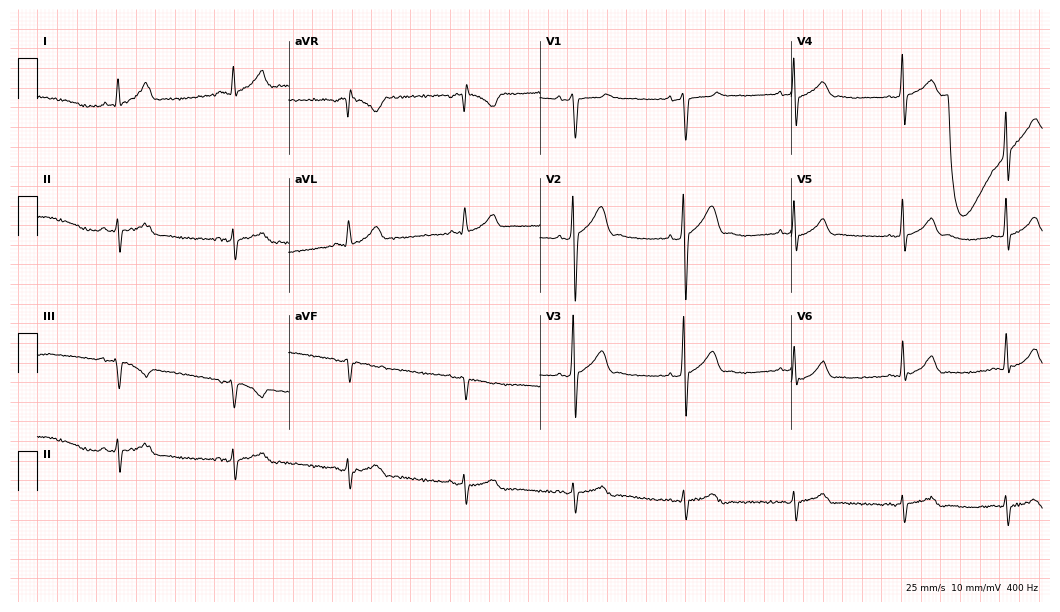
Electrocardiogram (10.2-second recording at 400 Hz), a man, 30 years old. Of the six screened findings (first-degree AV block, right bundle branch block, left bundle branch block, sinus bradycardia, atrial fibrillation, sinus tachycardia), none is recorded. Other findings, if any, are not listed.